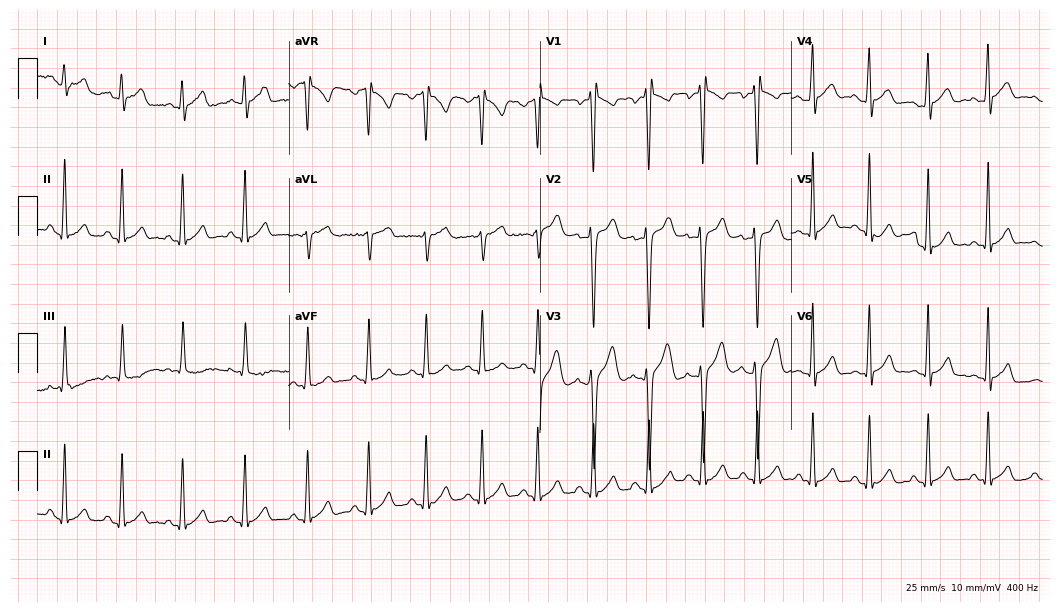
12-lead ECG (10.2-second recording at 400 Hz) from an 18-year-old male patient. Labelled as a normal ECG.